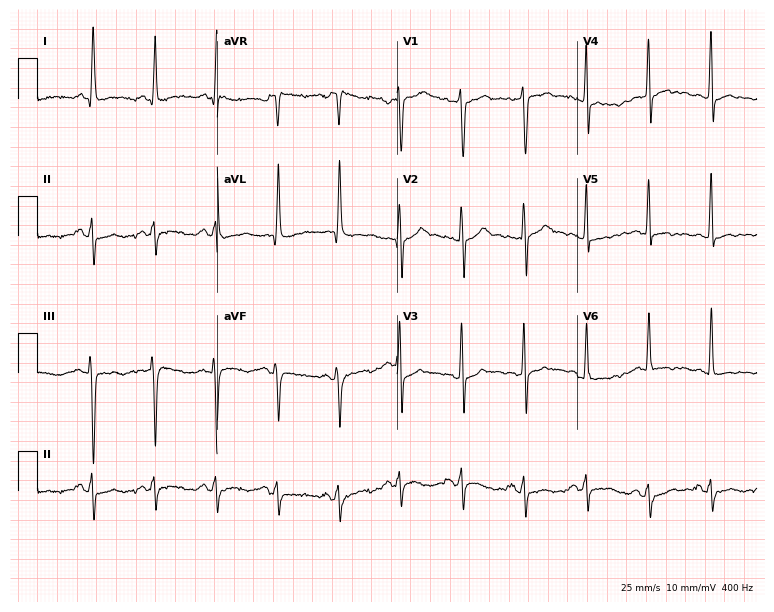
ECG — a 46-year-old man. Screened for six findings — first-degree AV block, right bundle branch block (RBBB), left bundle branch block (LBBB), sinus bradycardia, atrial fibrillation (AF), sinus tachycardia — none is recorded. Other findings, if any, are not listed.